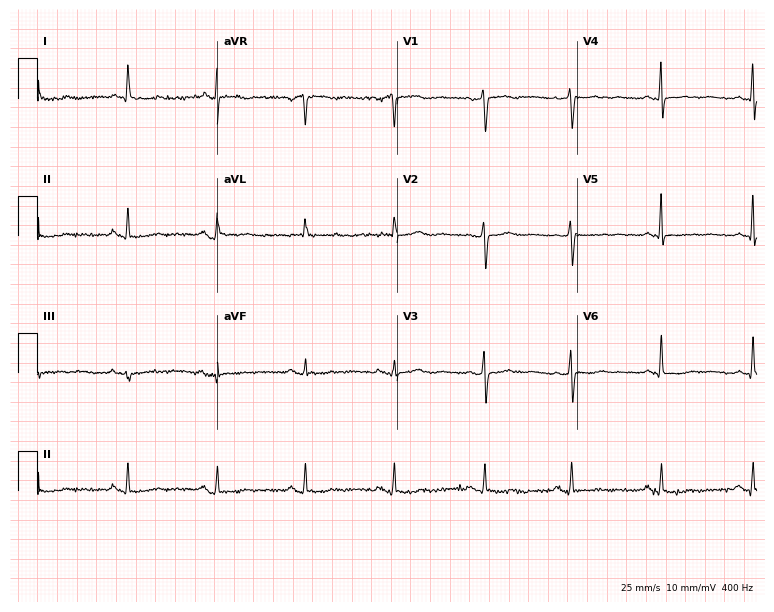
Electrocardiogram, a female, 68 years old. Of the six screened findings (first-degree AV block, right bundle branch block, left bundle branch block, sinus bradycardia, atrial fibrillation, sinus tachycardia), none is recorded.